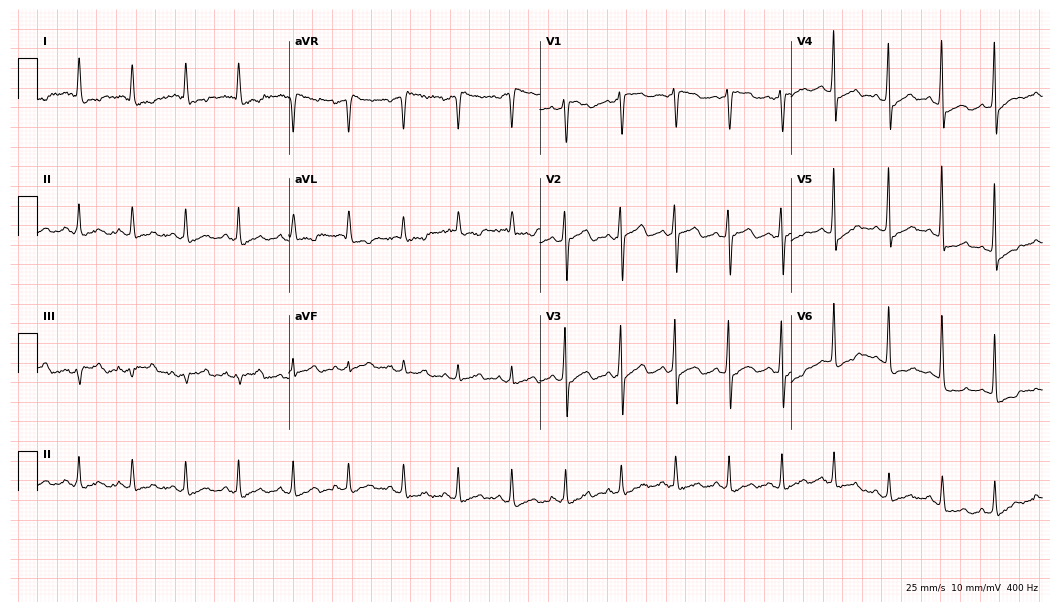
Electrocardiogram (10.2-second recording at 400 Hz), a female patient, 78 years old. Interpretation includes sinus tachycardia (a sinus rate of 100 beats per minute or more).